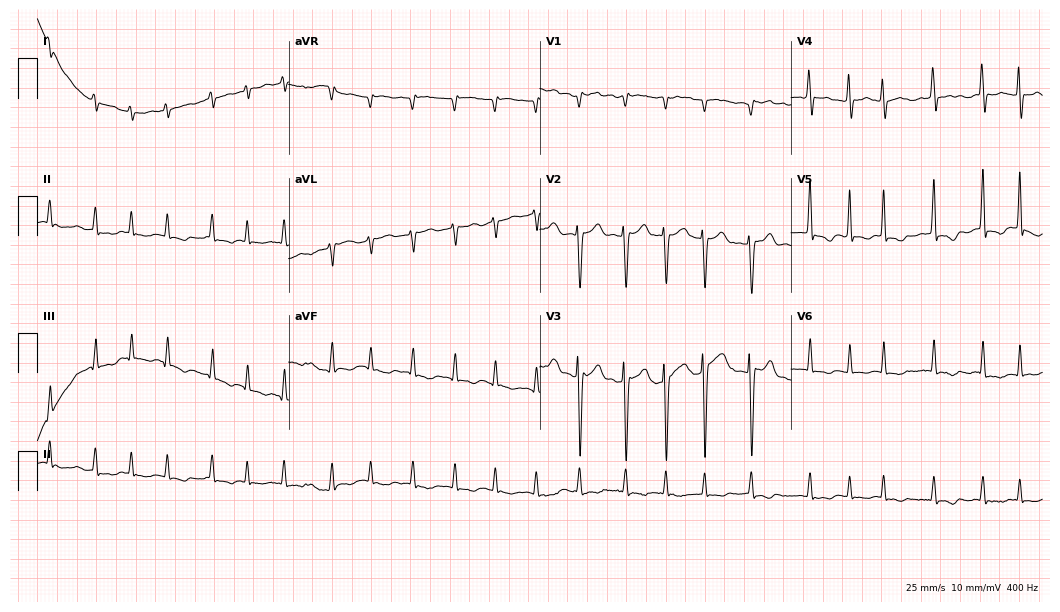
12-lead ECG from a 49-year-old male. Shows atrial fibrillation.